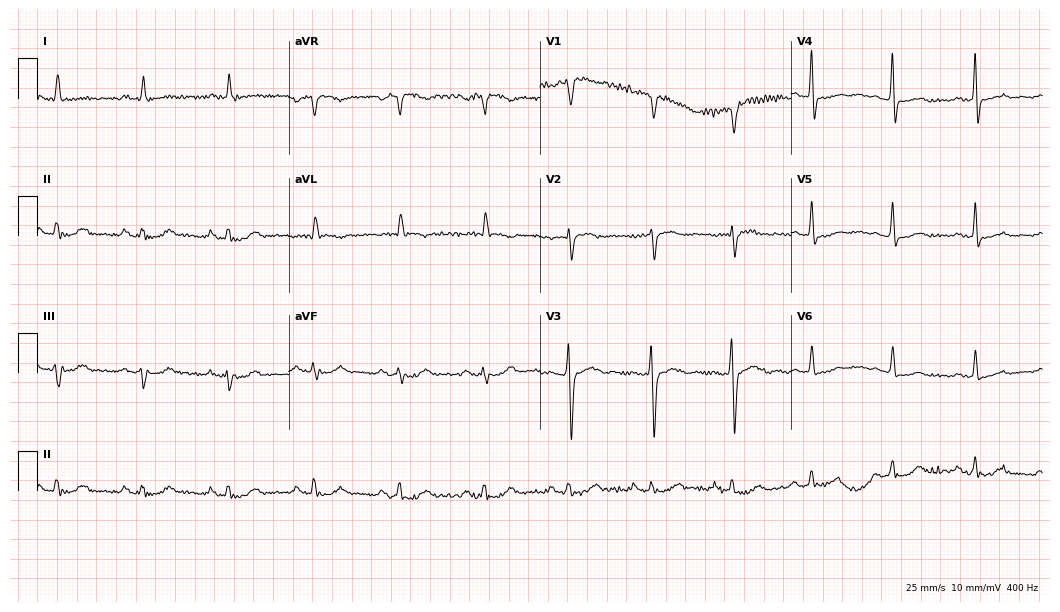
Resting 12-lead electrocardiogram (10.2-second recording at 400 Hz). Patient: an 81-year-old male. None of these six findings is recorded: first-degree AV block, right bundle branch block, left bundle branch block, sinus bradycardia, atrial fibrillation, sinus tachycardia. Other findings, if any, are not listed.